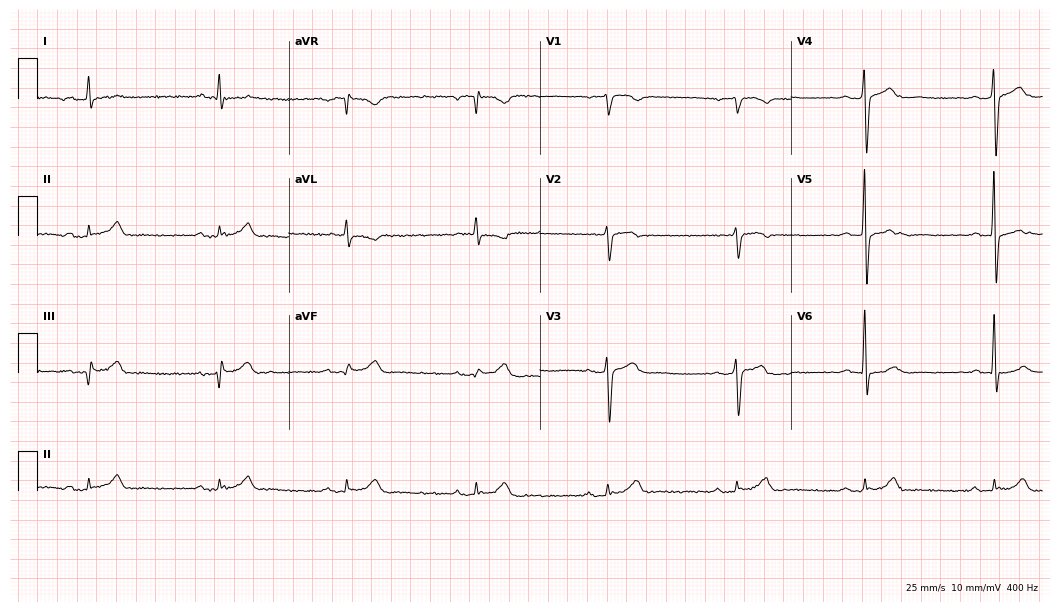
Electrocardiogram, a 73-year-old man. Interpretation includes sinus bradycardia (a sinus rate of 50 beats per minute or less).